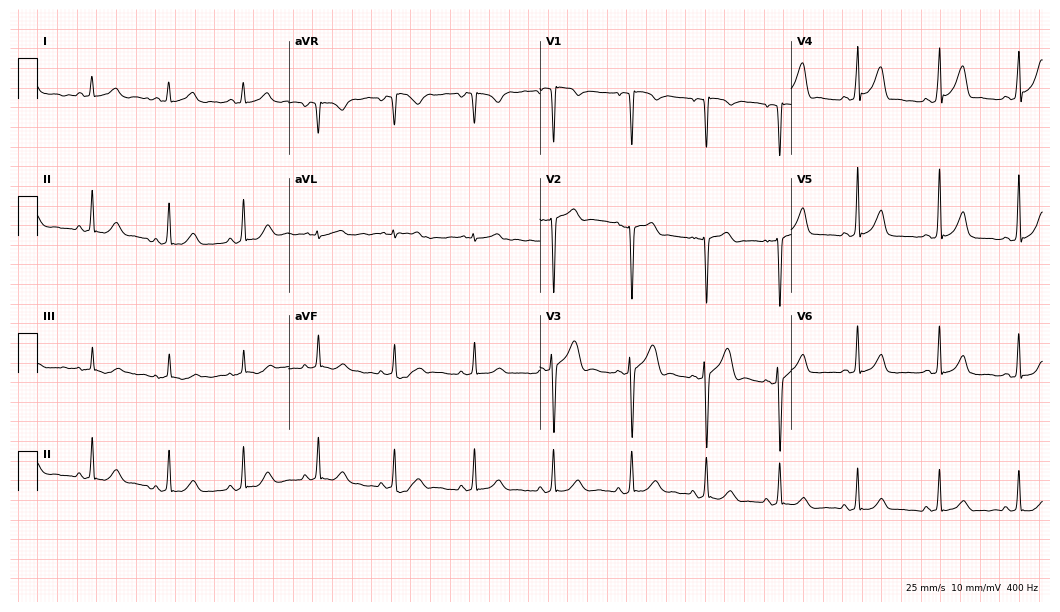
Standard 12-lead ECG recorded from a male patient, 22 years old (10.2-second recording at 400 Hz). None of these six findings is recorded: first-degree AV block, right bundle branch block, left bundle branch block, sinus bradycardia, atrial fibrillation, sinus tachycardia. Other findings, if any, are not listed.